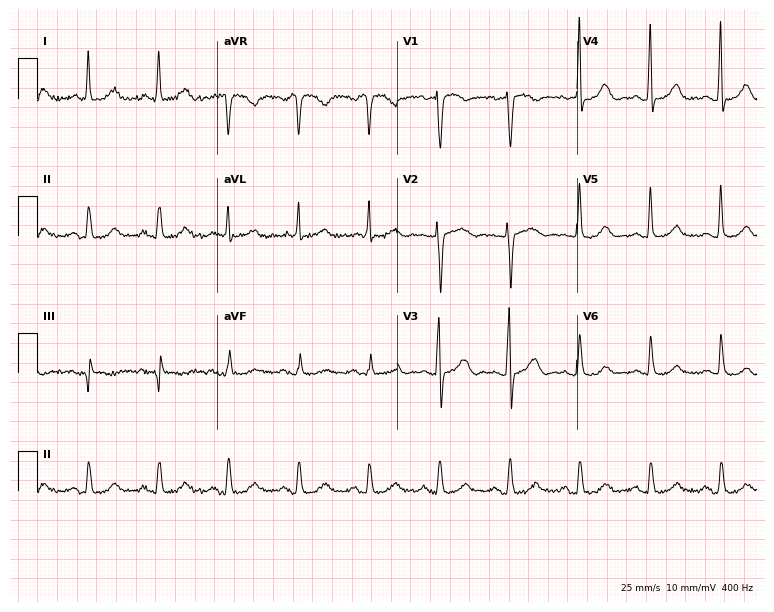
Standard 12-lead ECG recorded from a 79-year-old woman. Read as a normal ECG.